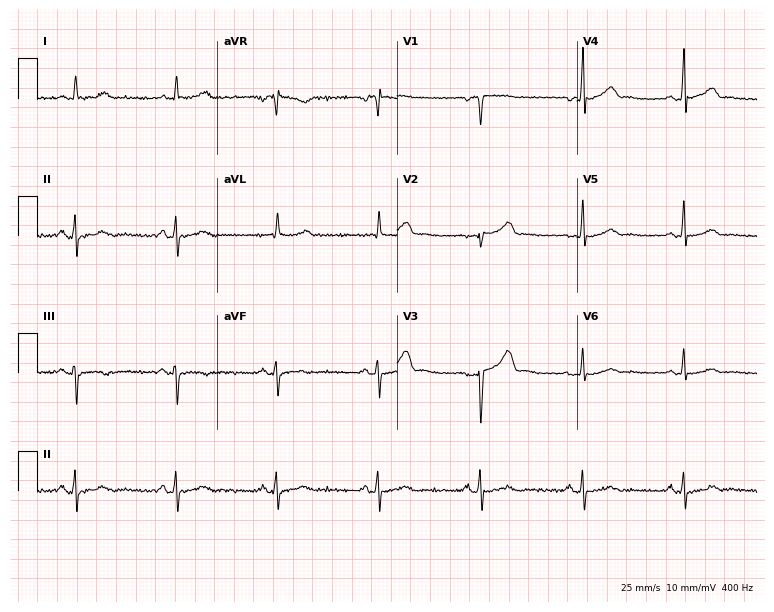
12-lead ECG from a man, 44 years old. Screened for six findings — first-degree AV block, right bundle branch block, left bundle branch block, sinus bradycardia, atrial fibrillation, sinus tachycardia — none is recorded.